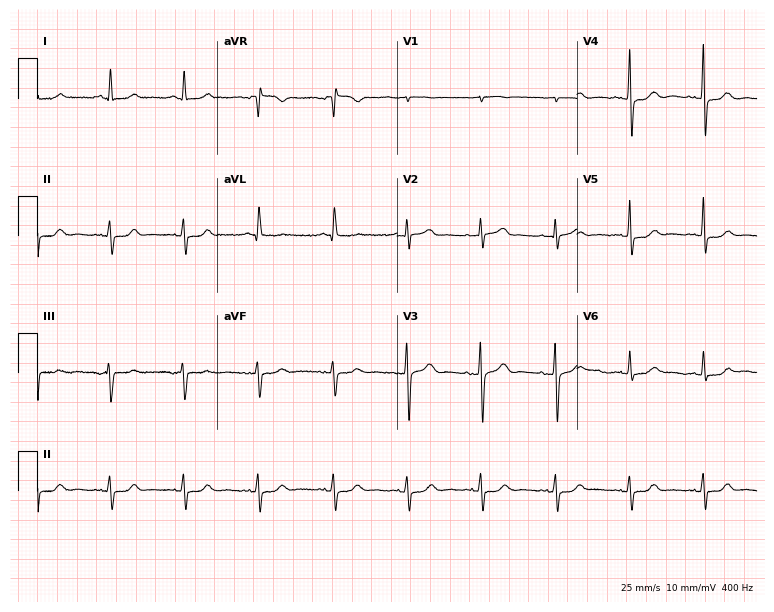
Electrocardiogram, a 74-year-old female. Of the six screened findings (first-degree AV block, right bundle branch block, left bundle branch block, sinus bradycardia, atrial fibrillation, sinus tachycardia), none is recorded.